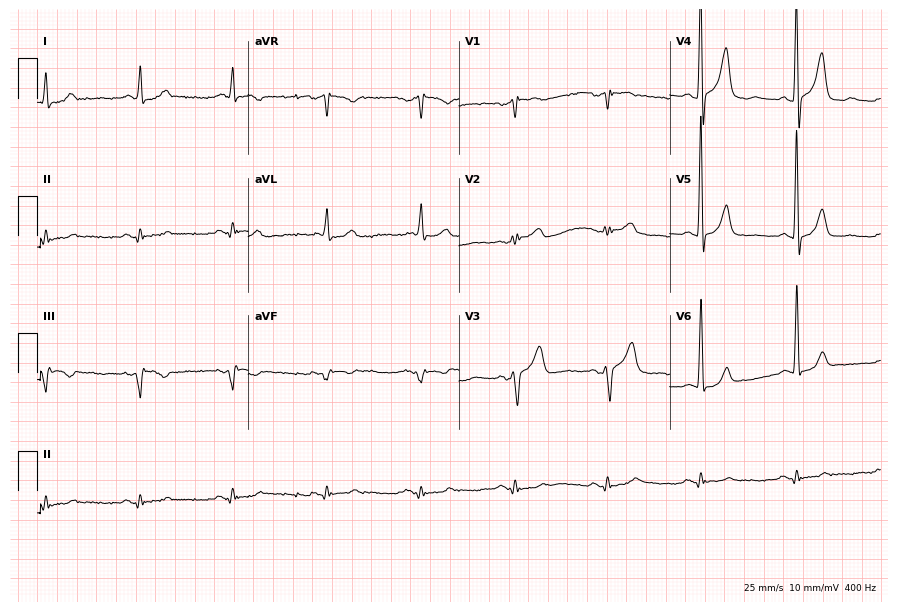
12-lead ECG from a male, 67 years old. No first-degree AV block, right bundle branch block (RBBB), left bundle branch block (LBBB), sinus bradycardia, atrial fibrillation (AF) or sinus tachycardia recorded for this tracing.